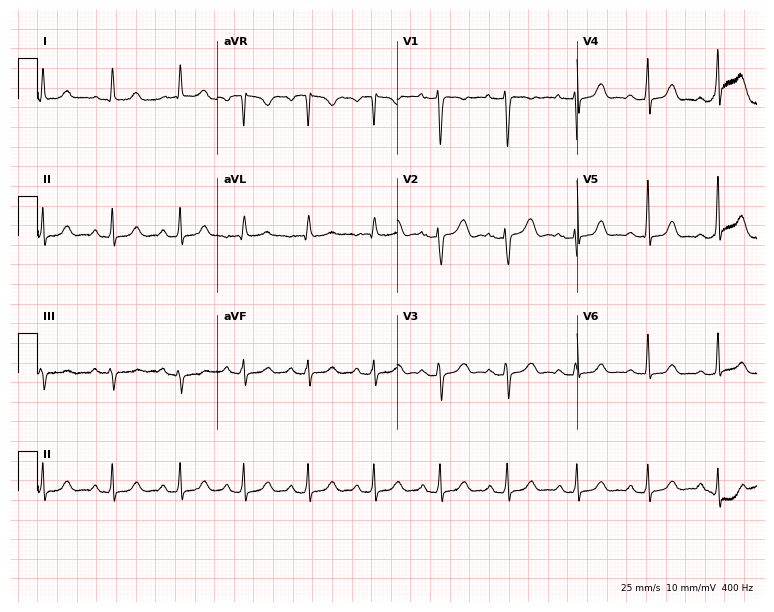
Standard 12-lead ECG recorded from a 48-year-old female. Read as a normal ECG.